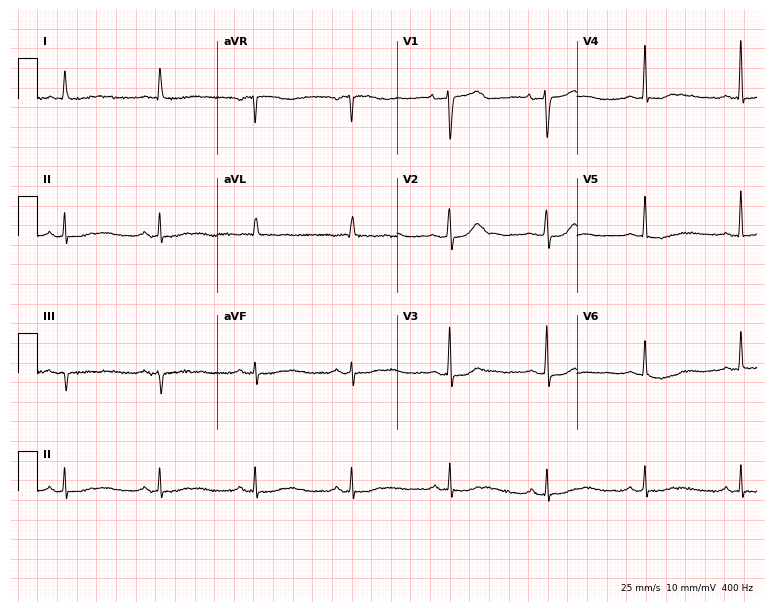
Standard 12-lead ECG recorded from an 83-year-old female (7.3-second recording at 400 Hz). None of these six findings is recorded: first-degree AV block, right bundle branch block, left bundle branch block, sinus bradycardia, atrial fibrillation, sinus tachycardia. Only these six findings were labelled.